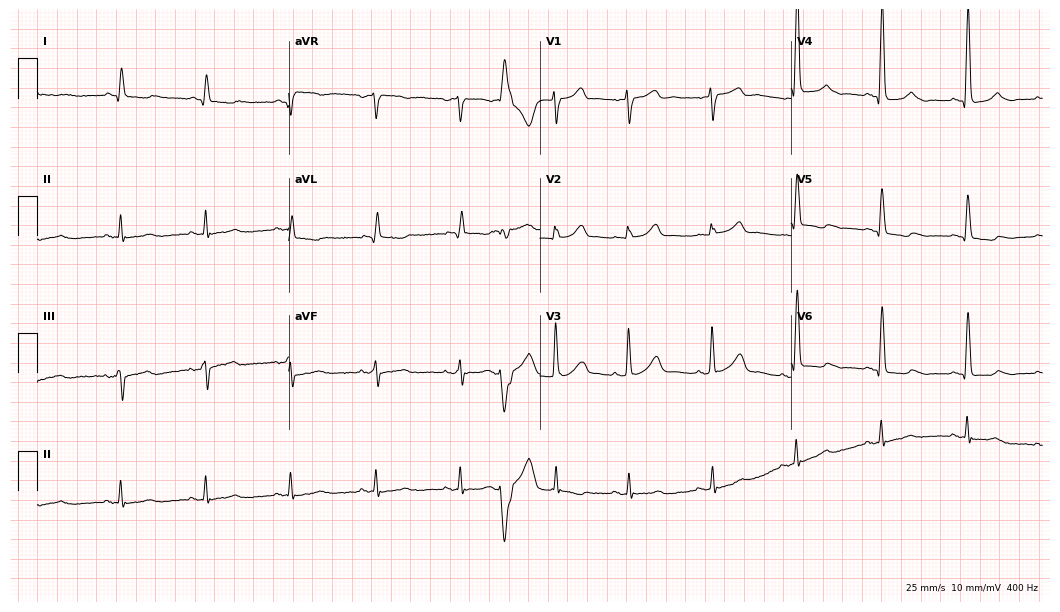
ECG (10.2-second recording at 400 Hz) — a man, 55 years old. Screened for six findings — first-degree AV block, right bundle branch block, left bundle branch block, sinus bradycardia, atrial fibrillation, sinus tachycardia — none is recorded. Only these six findings were labelled.